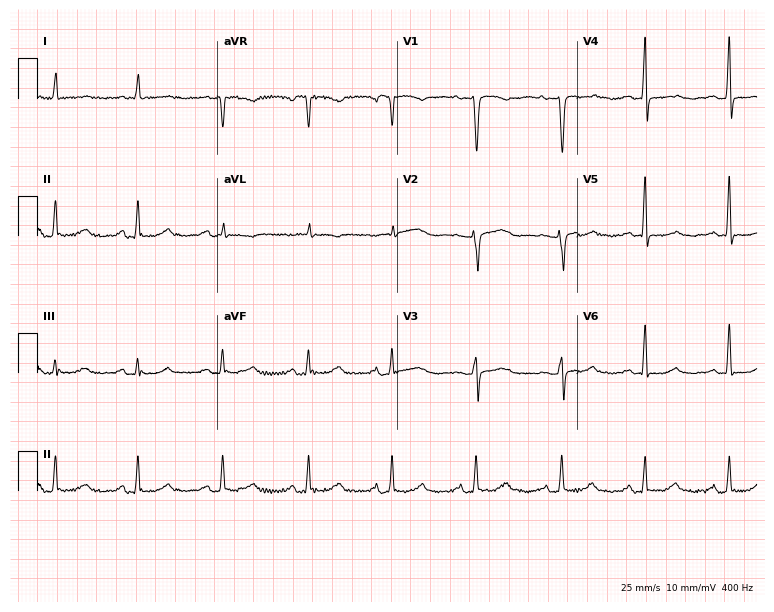
ECG — a female, 51 years old. Labelled as a normal ECG.